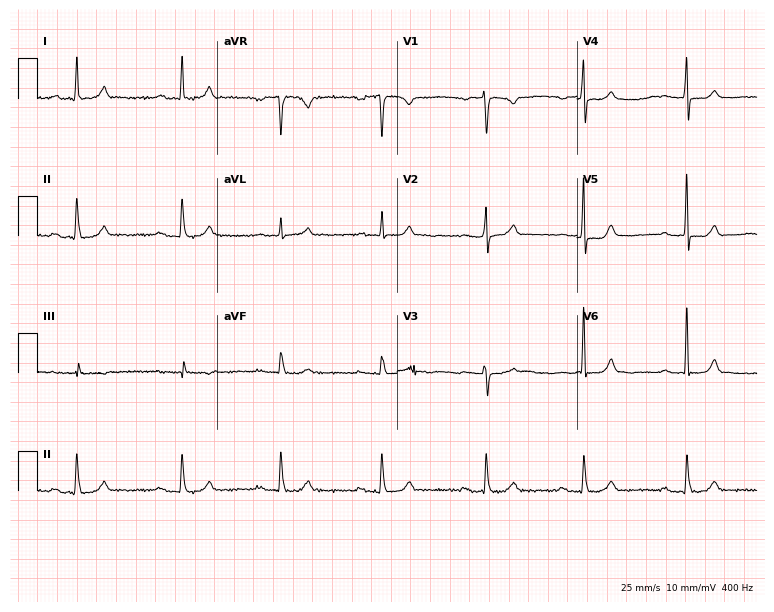
12-lead ECG from a female patient, 63 years old. Shows first-degree AV block.